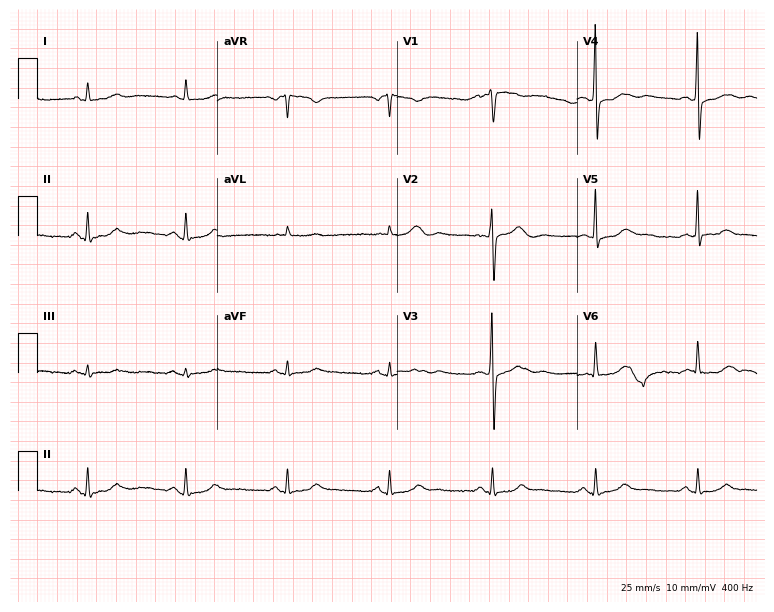
Electrocardiogram (7.3-second recording at 400 Hz), a female patient, 61 years old. Overall reading on record: normal ECG.